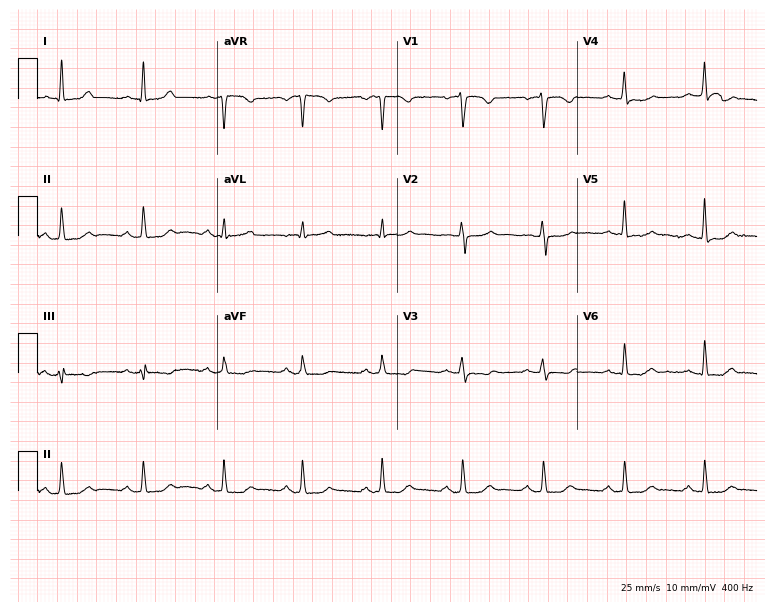
ECG — a 32-year-old female patient. Screened for six findings — first-degree AV block, right bundle branch block, left bundle branch block, sinus bradycardia, atrial fibrillation, sinus tachycardia — none is recorded. Only these six findings were labelled.